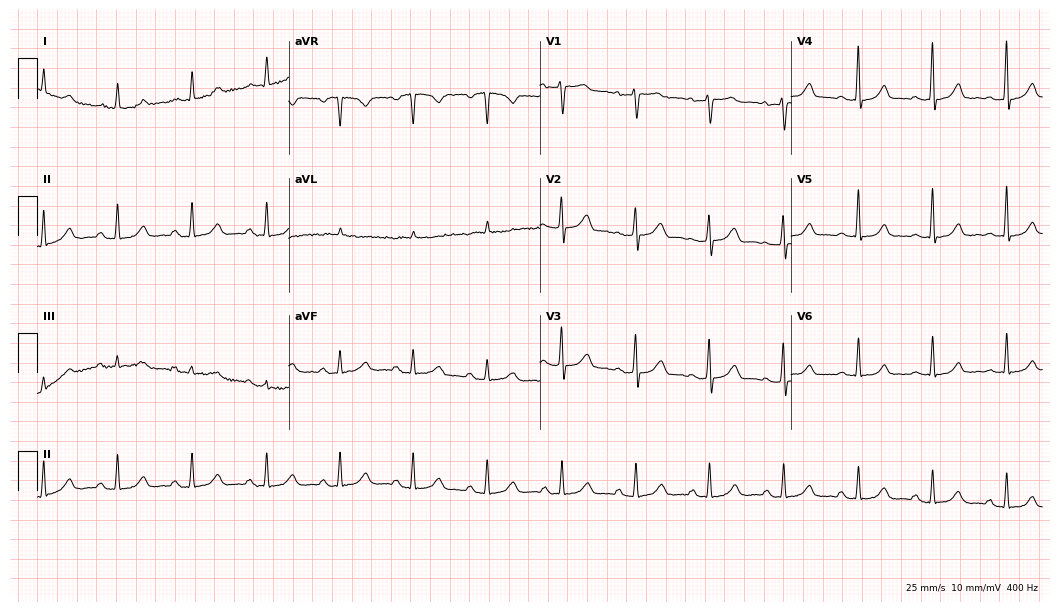
Resting 12-lead electrocardiogram. Patient: a woman, 47 years old. None of these six findings is recorded: first-degree AV block, right bundle branch block, left bundle branch block, sinus bradycardia, atrial fibrillation, sinus tachycardia. Other findings, if any, are not listed.